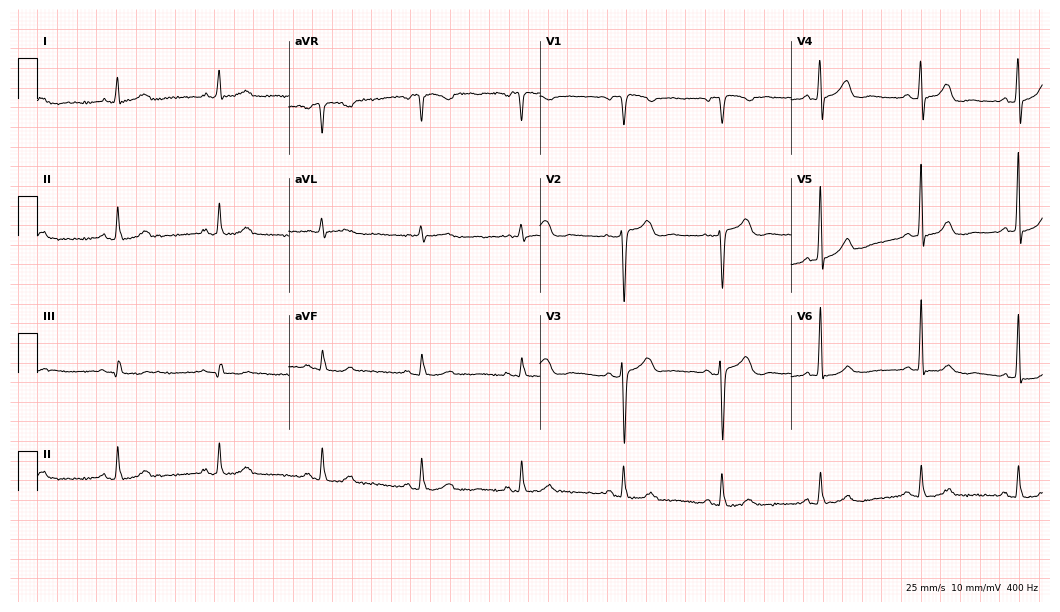
Electrocardiogram, a female patient, 63 years old. Overall reading on record: normal ECG.